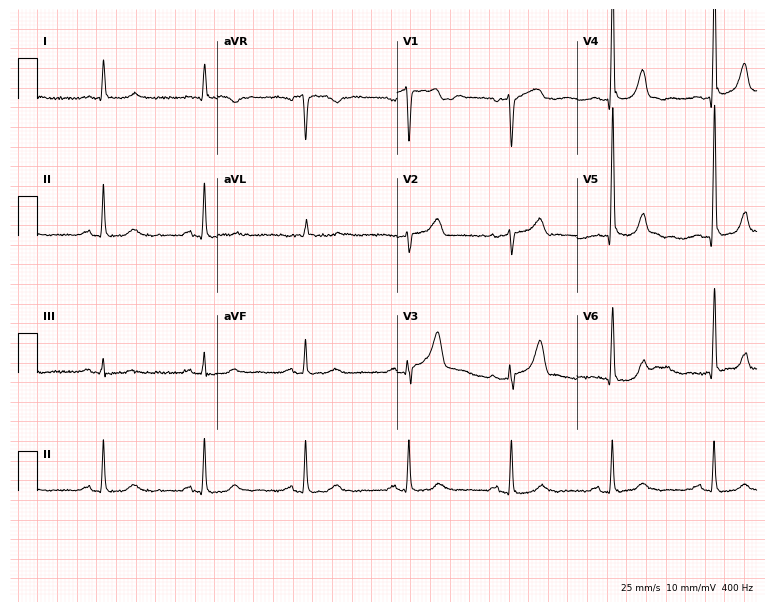
ECG — a 76-year-old male patient. Screened for six findings — first-degree AV block, right bundle branch block (RBBB), left bundle branch block (LBBB), sinus bradycardia, atrial fibrillation (AF), sinus tachycardia — none is recorded. Other findings, if any, are not listed.